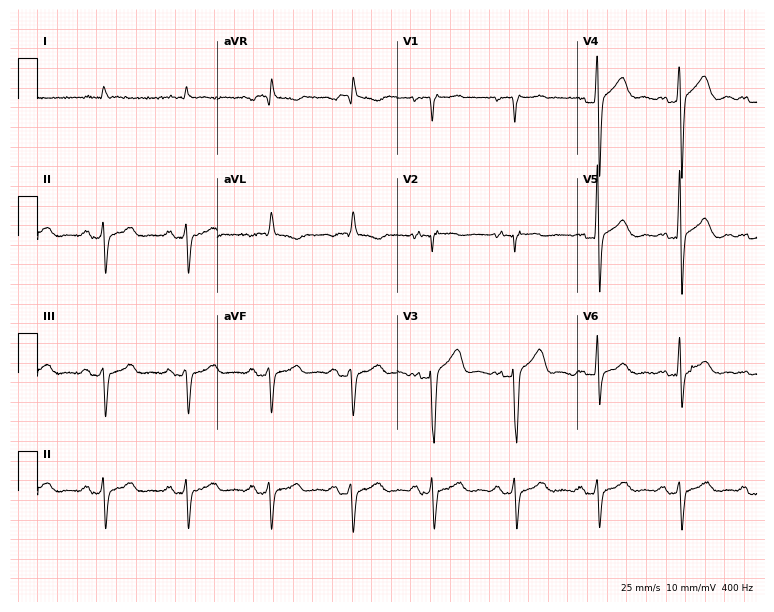
Electrocardiogram (7.3-second recording at 400 Hz), a woman, 65 years old. Of the six screened findings (first-degree AV block, right bundle branch block, left bundle branch block, sinus bradycardia, atrial fibrillation, sinus tachycardia), none is recorded. Only these six findings were labelled.